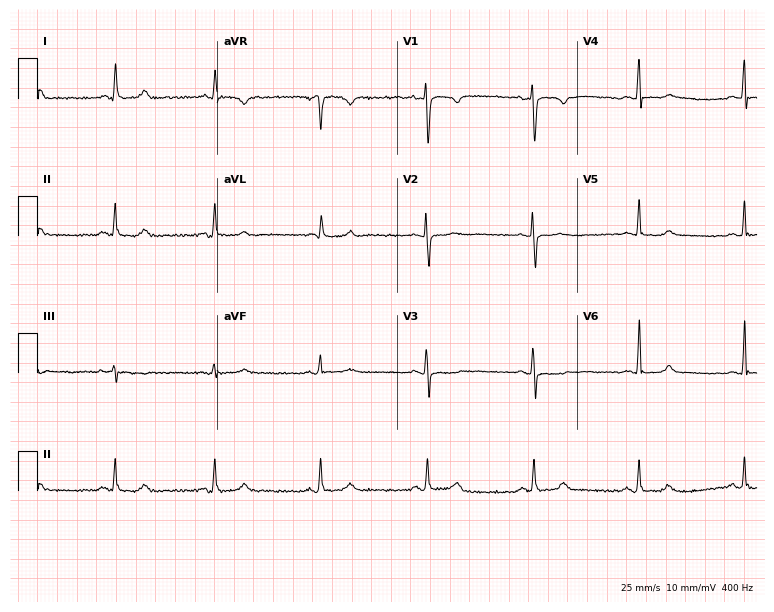
12-lead ECG from a 56-year-old woman. Labelled as a normal ECG.